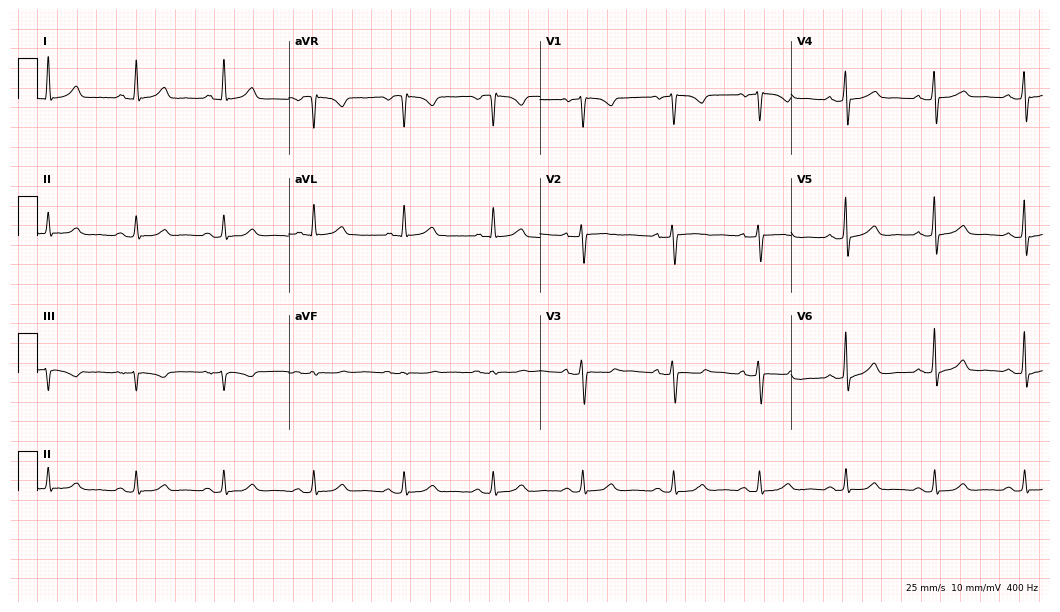
12-lead ECG from a 52-year-old female (10.2-second recording at 400 Hz). Recorded interpretation: within normal limits.